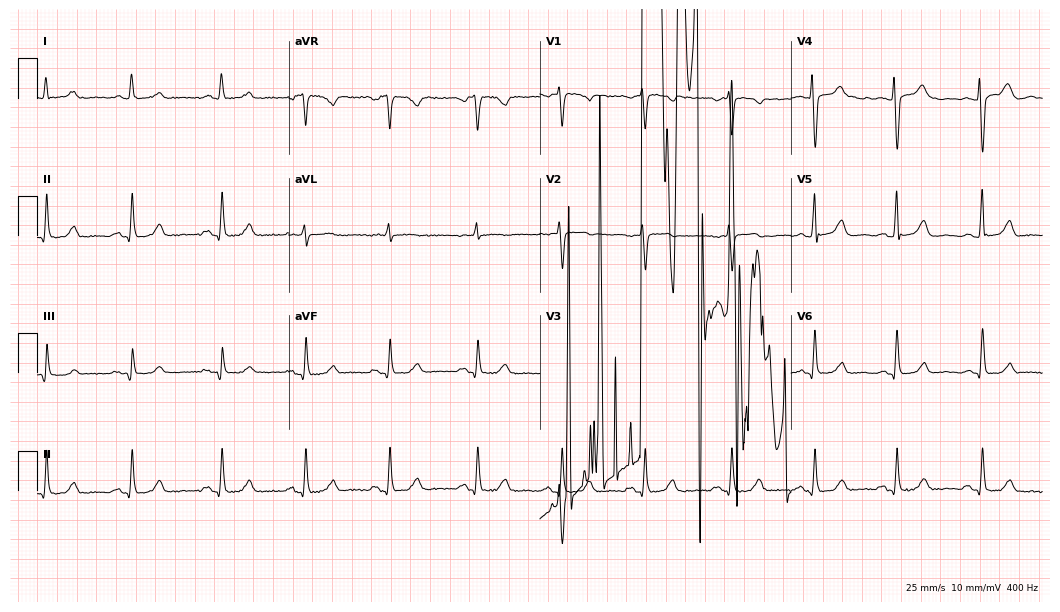
Electrocardiogram, a female patient, 57 years old. Of the six screened findings (first-degree AV block, right bundle branch block (RBBB), left bundle branch block (LBBB), sinus bradycardia, atrial fibrillation (AF), sinus tachycardia), none is recorded.